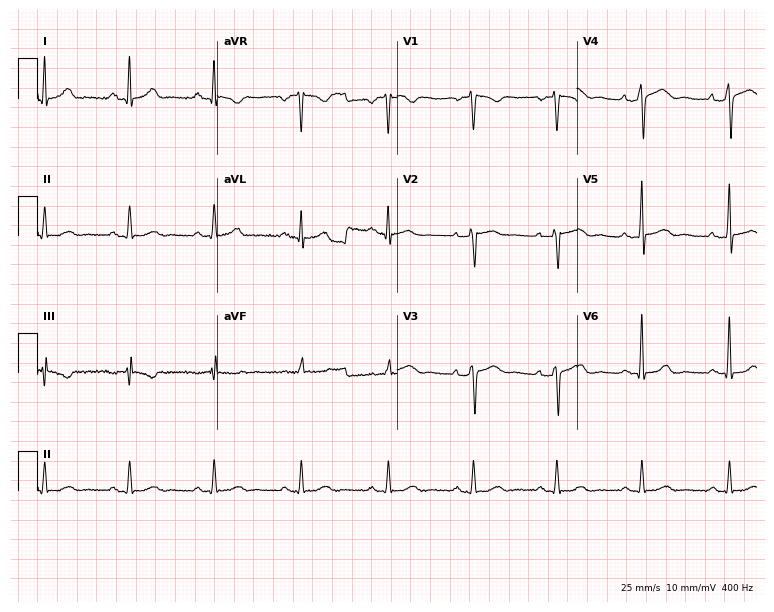
Standard 12-lead ECG recorded from a 42-year-old male (7.3-second recording at 400 Hz). None of these six findings is recorded: first-degree AV block, right bundle branch block (RBBB), left bundle branch block (LBBB), sinus bradycardia, atrial fibrillation (AF), sinus tachycardia. Other findings, if any, are not listed.